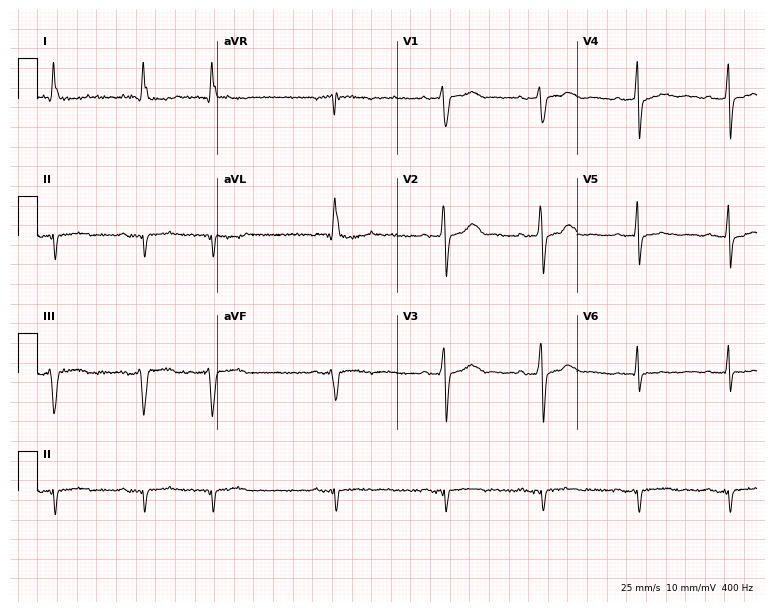
12-lead ECG (7.3-second recording at 400 Hz) from a 72-year-old male. Screened for six findings — first-degree AV block, right bundle branch block (RBBB), left bundle branch block (LBBB), sinus bradycardia, atrial fibrillation (AF), sinus tachycardia — none is recorded. Other findings, if any, are not listed.